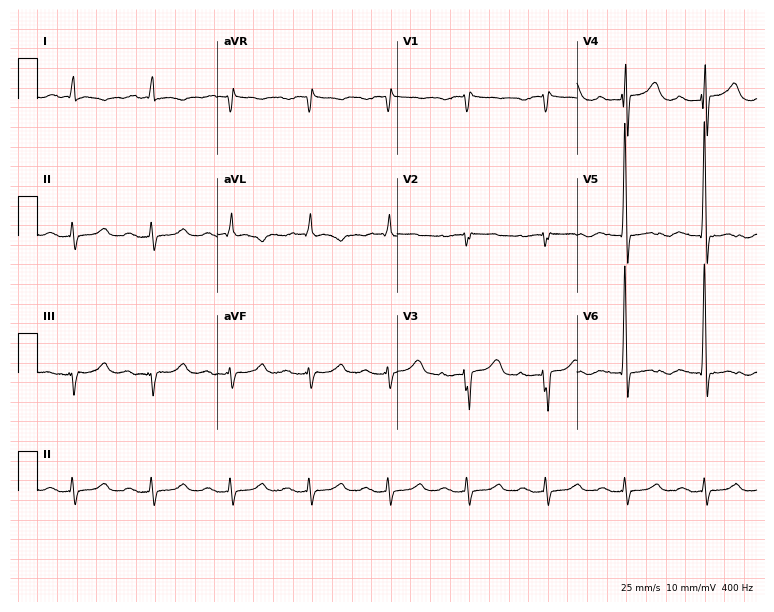
12-lead ECG from a 68-year-old male patient (7.3-second recording at 400 Hz). No first-degree AV block, right bundle branch block (RBBB), left bundle branch block (LBBB), sinus bradycardia, atrial fibrillation (AF) or sinus tachycardia recorded for this tracing.